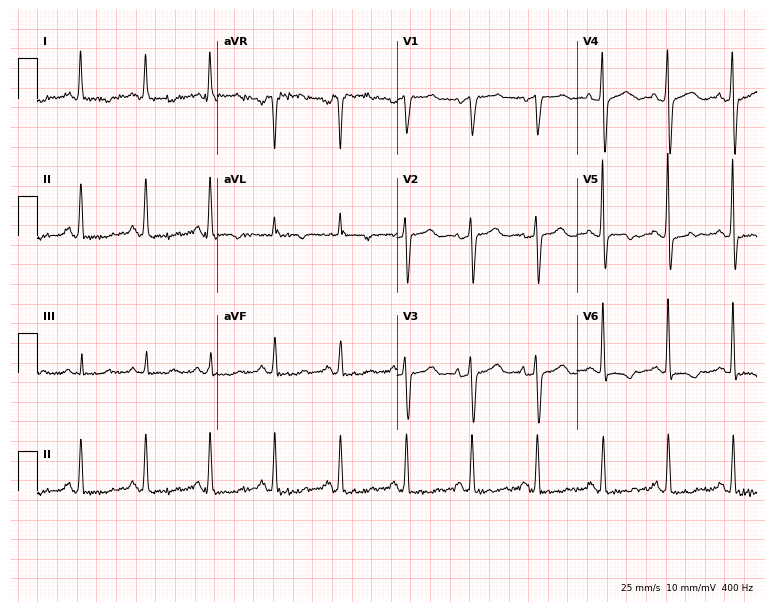
Electrocardiogram, a 49-year-old female. Of the six screened findings (first-degree AV block, right bundle branch block, left bundle branch block, sinus bradycardia, atrial fibrillation, sinus tachycardia), none is recorded. Only these six findings were labelled.